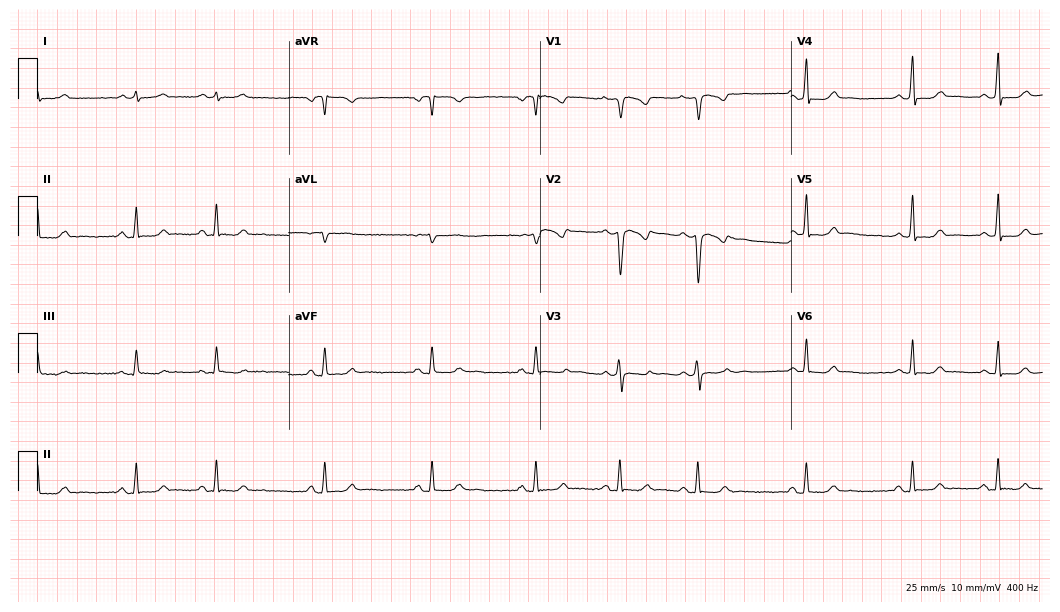
Resting 12-lead electrocardiogram. Patient: a 32-year-old woman. None of these six findings is recorded: first-degree AV block, right bundle branch block, left bundle branch block, sinus bradycardia, atrial fibrillation, sinus tachycardia. Other findings, if any, are not listed.